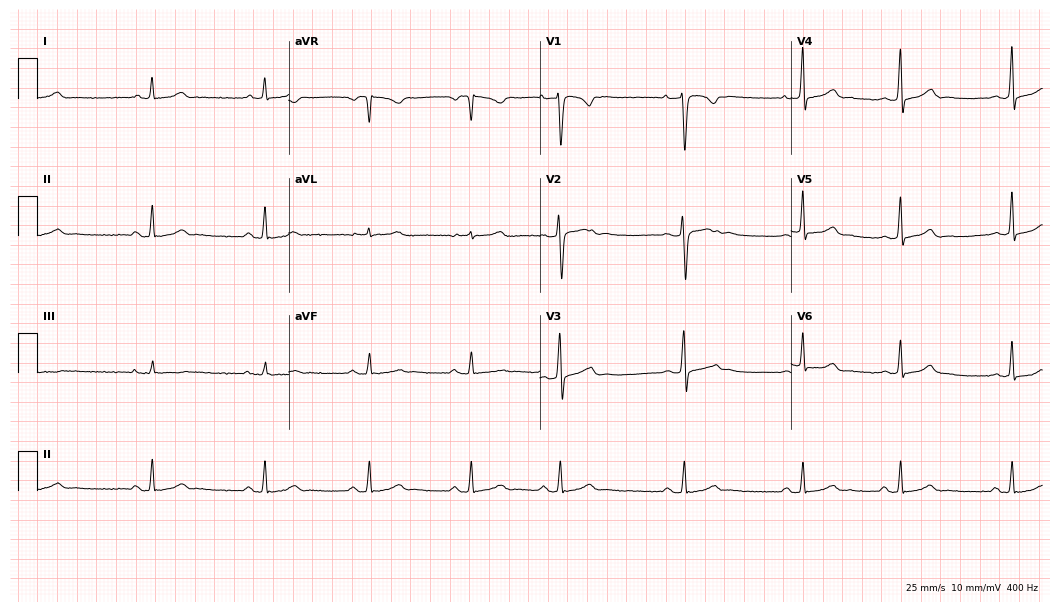
Resting 12-lead electrocardiogram. Patient: a woman, 19 years old. Read as a normal ECG.